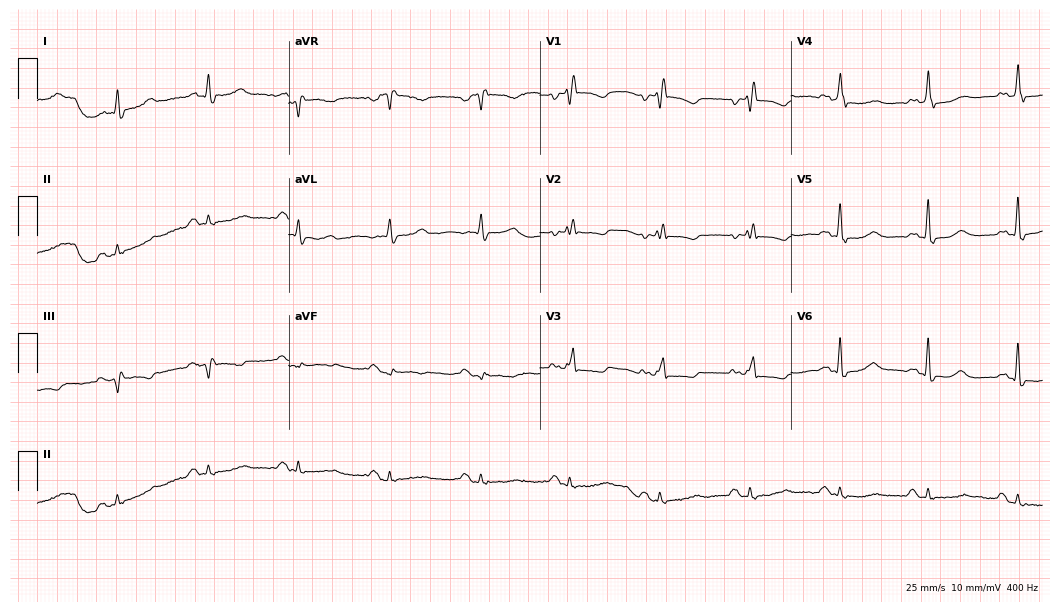
Standard 12-lead ECG recorded from a female patient, 84 years old. The tracing shows right bundle branch block.